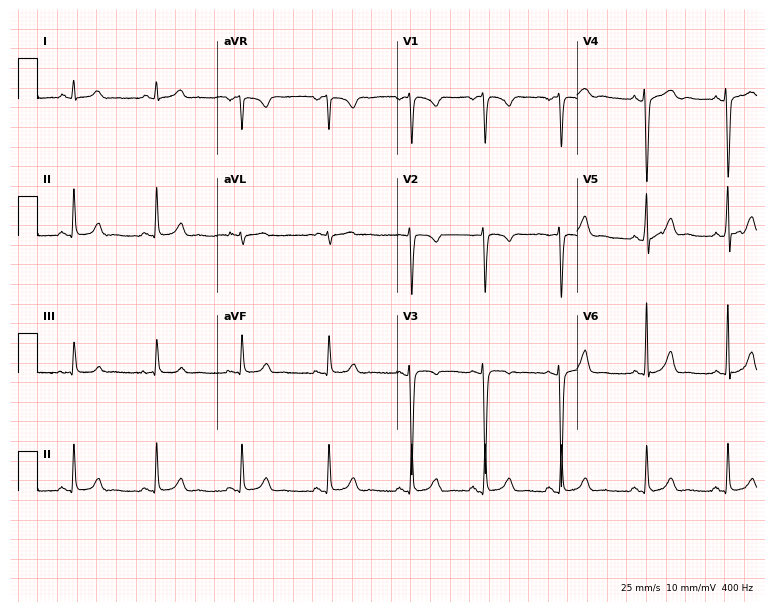
Standard 12-lead ECG recorded from a female, 27 years old. Read as a normal ECG.